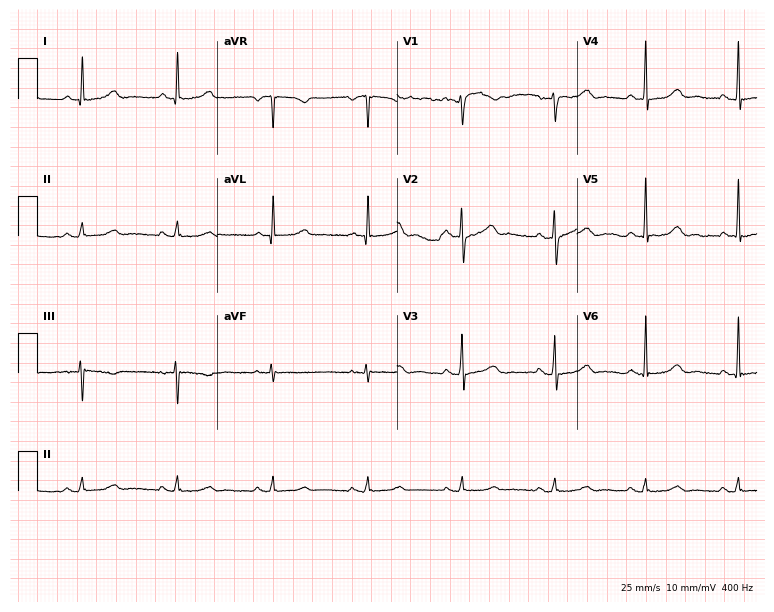
Electrocardiogram (7.3-second recording at 400 Hz), a 63-year-old female. Of the six screened findings (first-degree AV block, right bundle branch block, left bundle branch block, sinus bradycardia, atrial fibrillation, sinus tachycardia), none is recorded. Only these six findings were labelled.